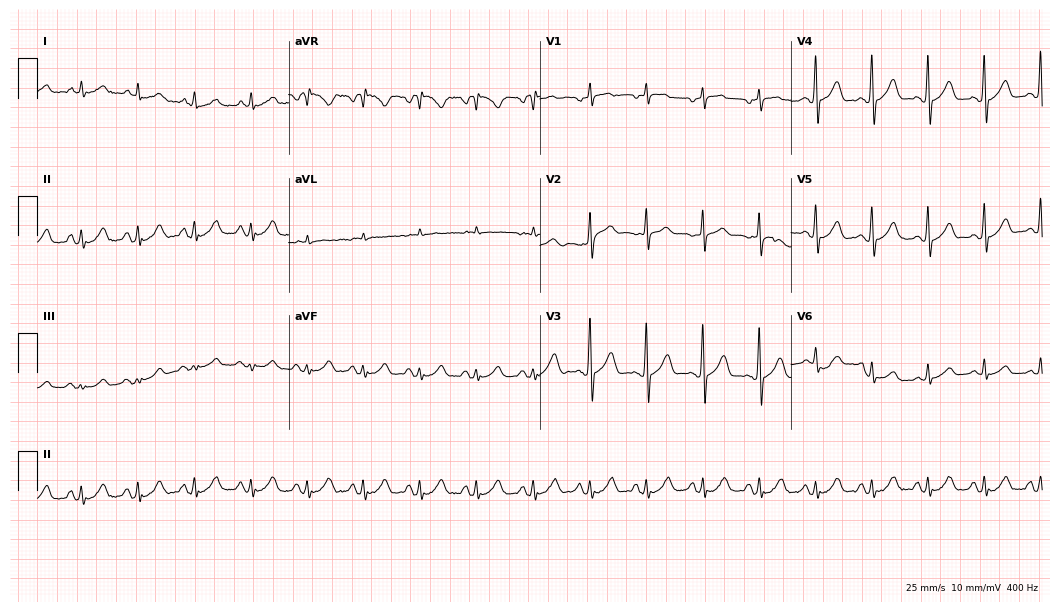
12-lead ECG (10.2-second recording at 400 Hz) from a man, 76 years old. Findings include sinus tachycardia (a sinus rate of 100 beats per minute or more).